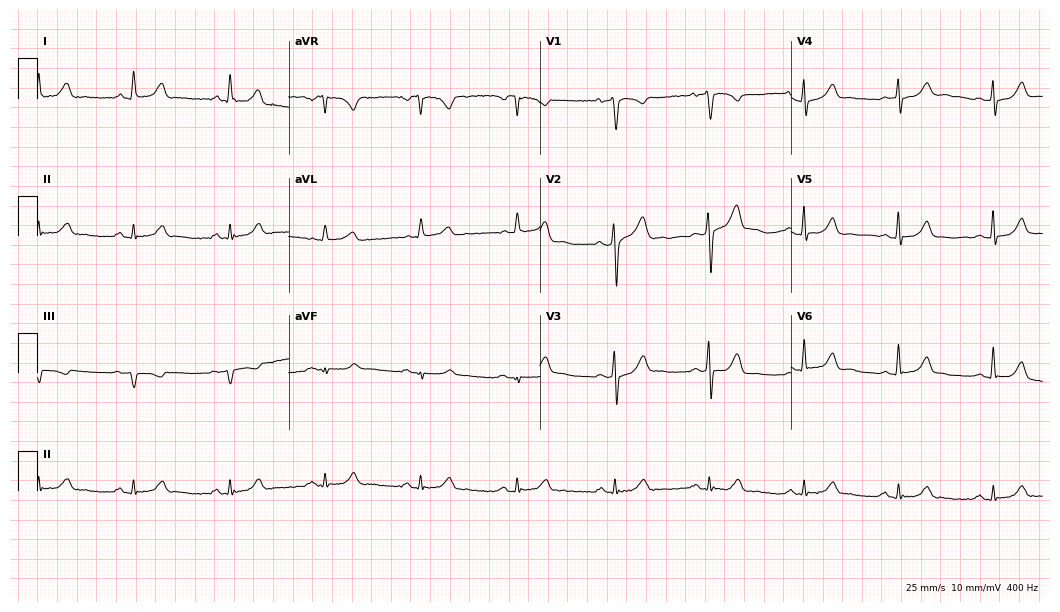
12-lead ECG from a 48-year-old woman. Recorded interpretation: within normal limits.